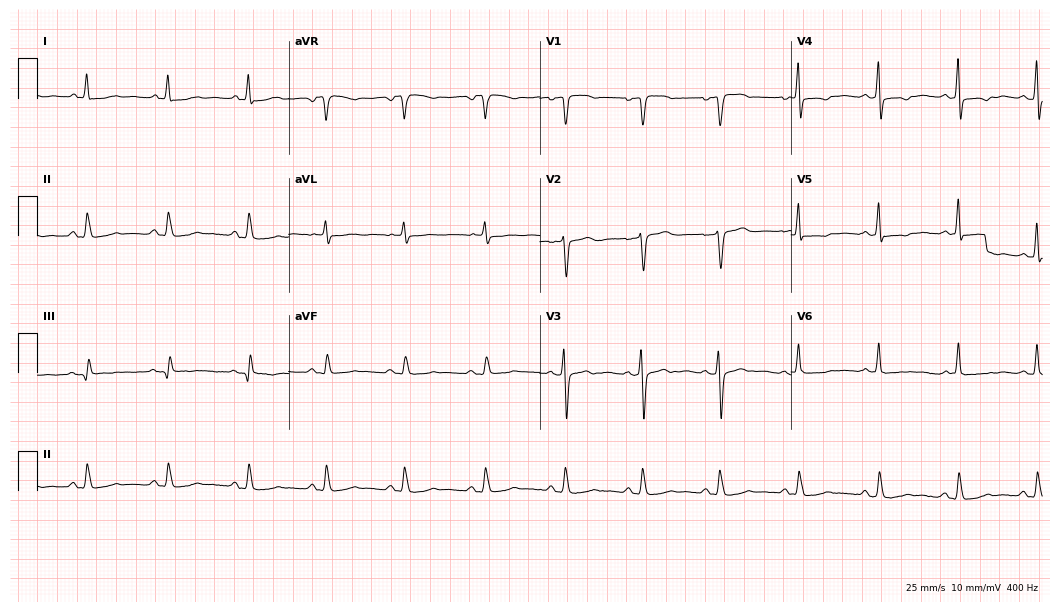
Resting 12-lead electrocardiogram. Patient: a female, 58 years old. None of these six findings is recorded: first-degree AV block, right bundle branch block (RBBB), left bundle branch block (LBBB), sinus bradycardia, atrial fibrillation (AF), sinus tachycardia. Only these six findings were labelled.